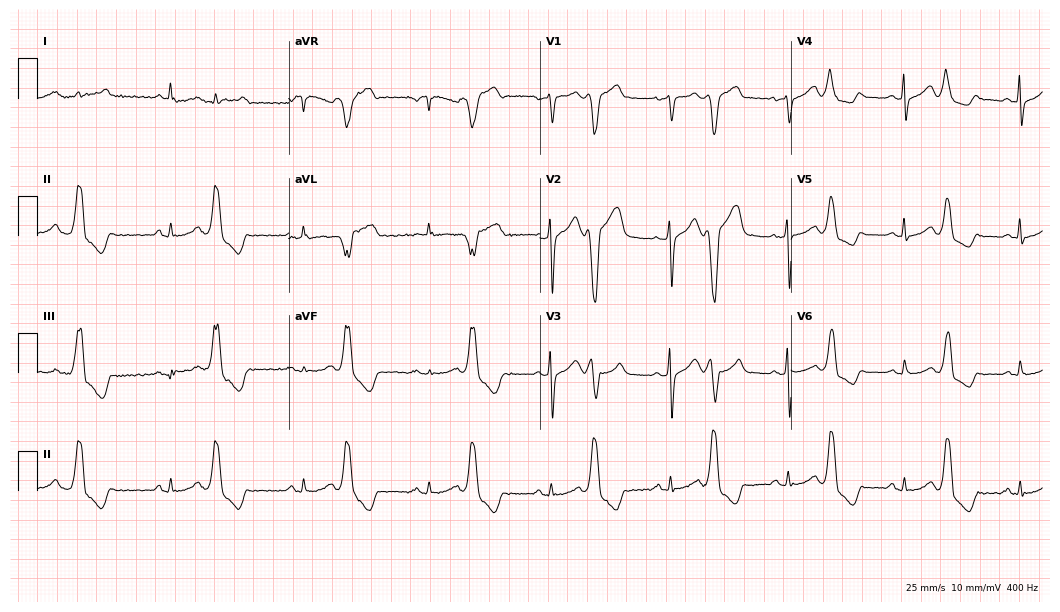
12-lead ECG from a 65-year-old woman. No first-degree AV block, right bundle branch block, left bundle branch block, sinus bradycardia, atrial fibrillation or sinus tachycardia recorded for this tracing.